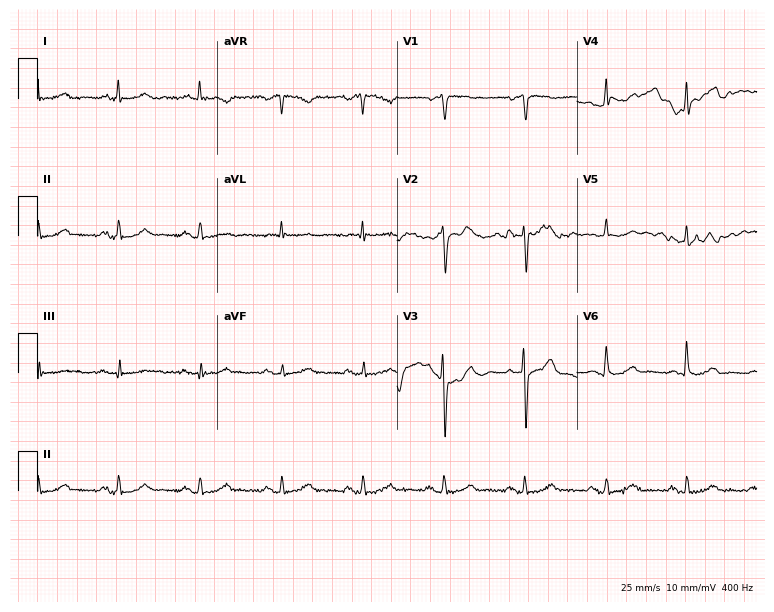
Electrocardiogram (7.3-second recording at 400 Hz), a male, 73 years old. Overall reading on record: normal ECG.